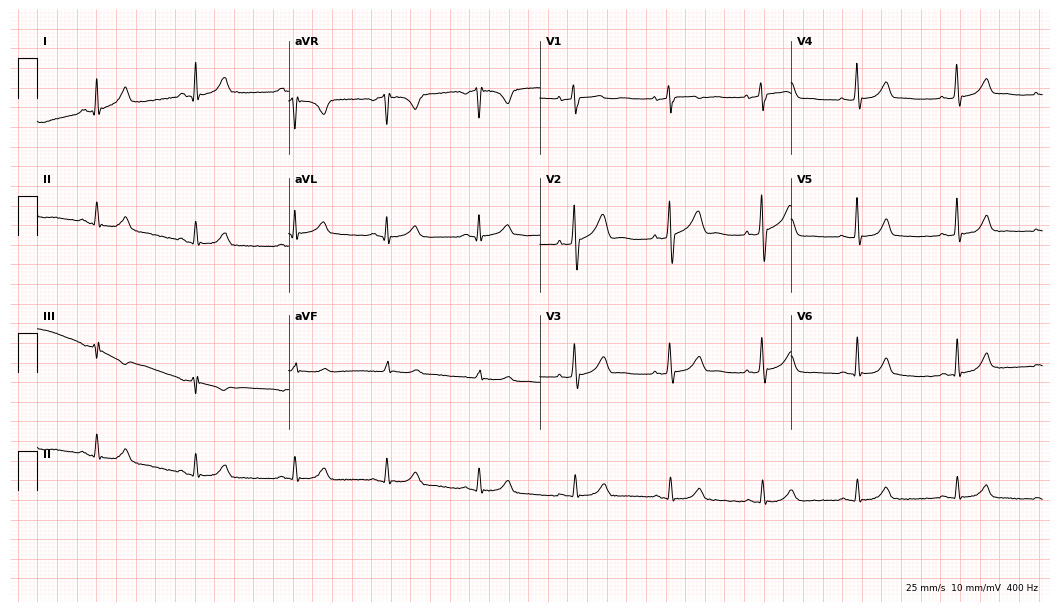
12-lead ECG from a man, 46 years old (10.2-second recording at 400 Hz). Recorded interpretation: within normal limits.